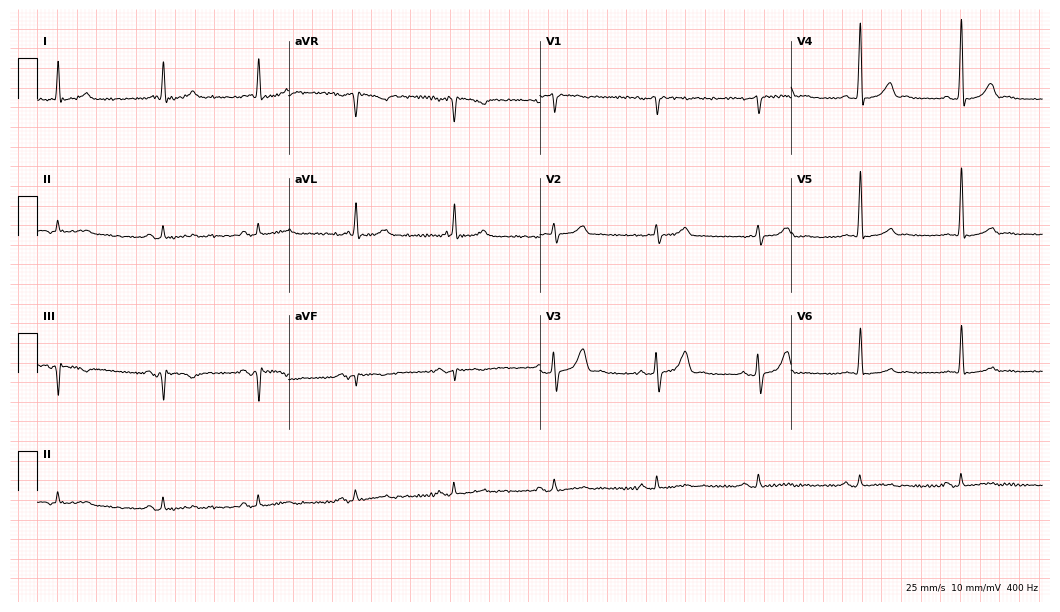
Electrocardiogram (10.2-second recording at 400 Hz), a male patient, 74 years old. Of the six screened findings (first-degree AV block, right bundle branch block, left bundle branch block, sinus bradycardia, atrial fibrillation, sinus tachycardia), none is recorded.